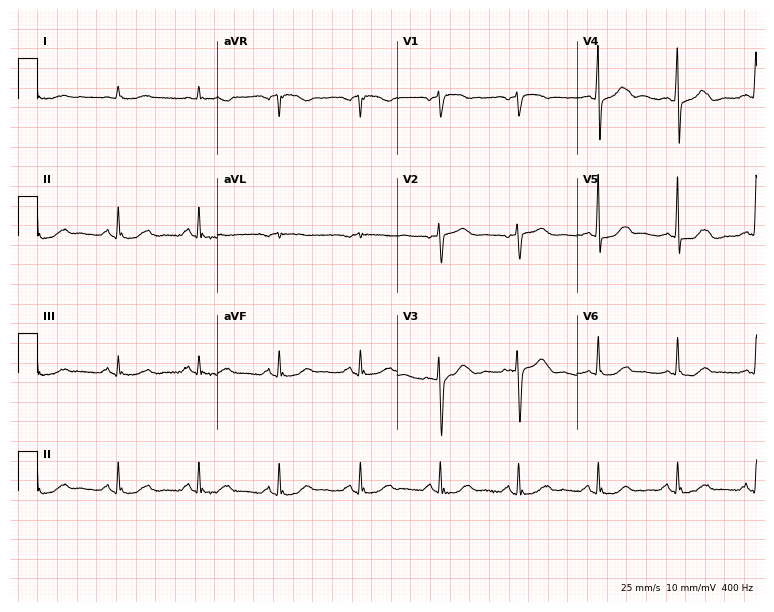
ECG (7.3-second recording at 400 Hz) — a 68-year-old woman. Labelled as a normal ECG.